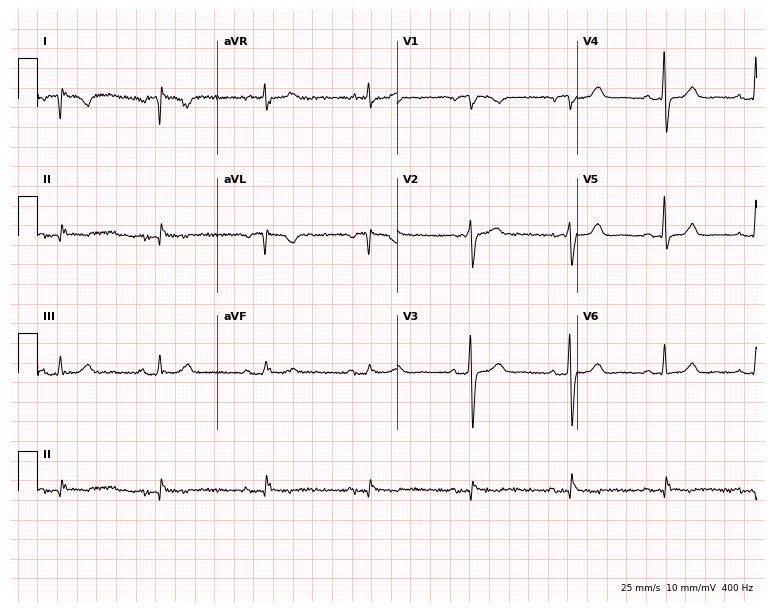
12-lead ECG from a 65-year-old female (7.3-second recording at 400 Hz). No first-degree AV block, right bundle branch block, left bundle branch block, sinus bradycardia, atrial fibrillation or sinus tachycardia recorded for this tracing.